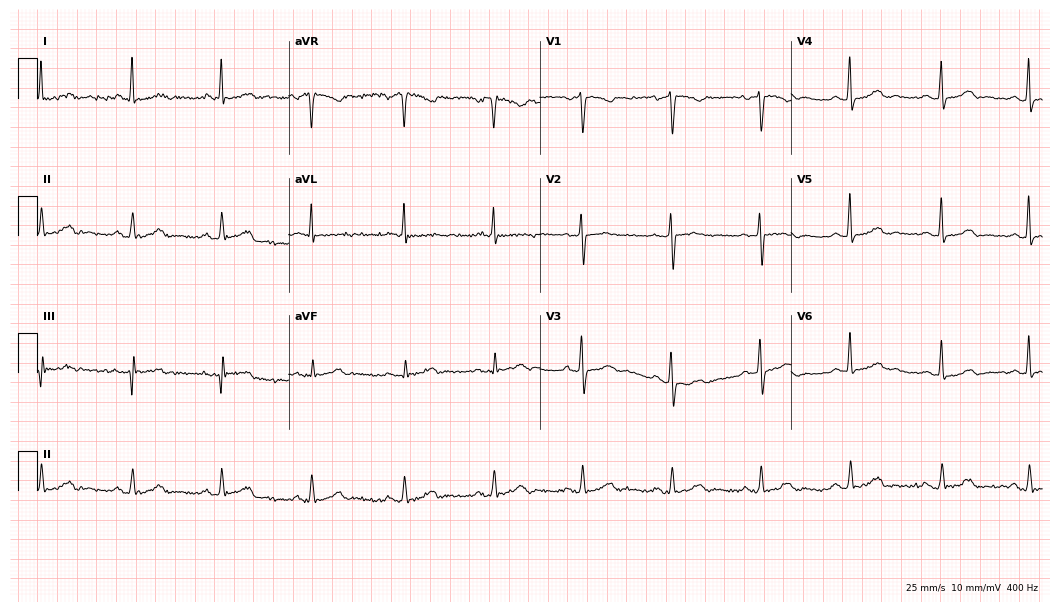
Standard 12-lead ECG recorded from a female, 36 years old (10.2-second recording at 400 Hz). Read as a normal ECG.